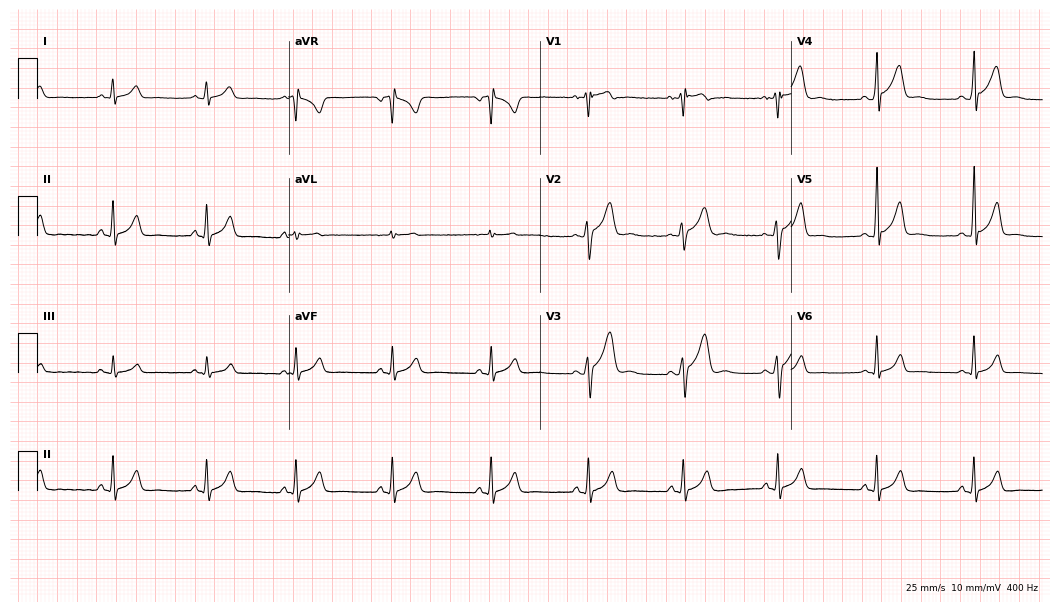
ECG — a 20-year-old man. Screened for six findings — first-degree AV block, right bundle branch block (RBBB), left bundle branch block (LBBB), sinus bradycardia, atrial fibrillation (AF), sinus tachycardia — none is recorded. Findings outside these six are not listed.